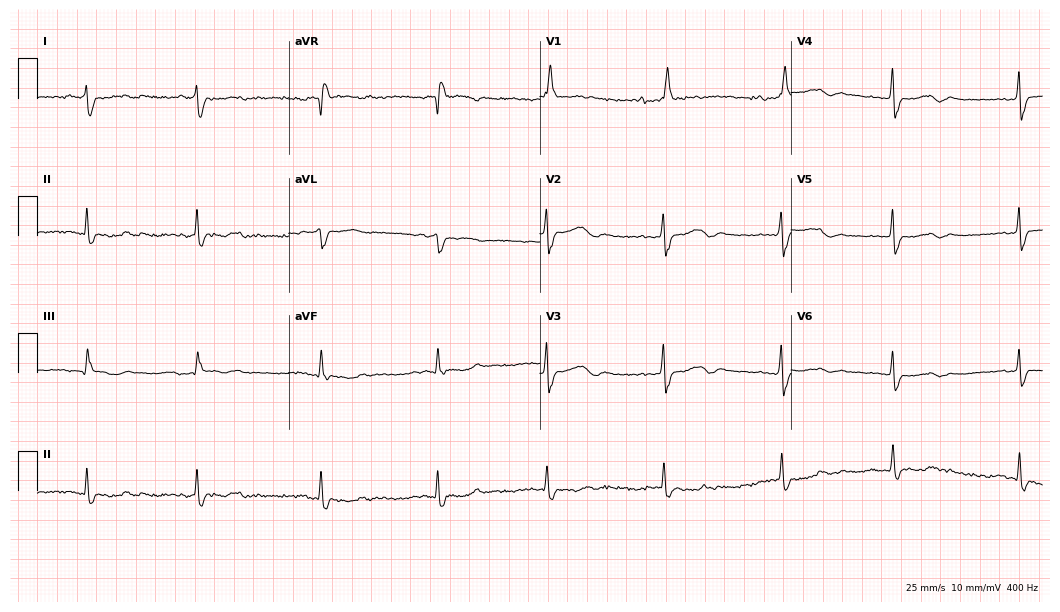
Resting 12-lead electrocardiogram. Patient: a 64-year-old woman. The tracing shows right bundle branch block.